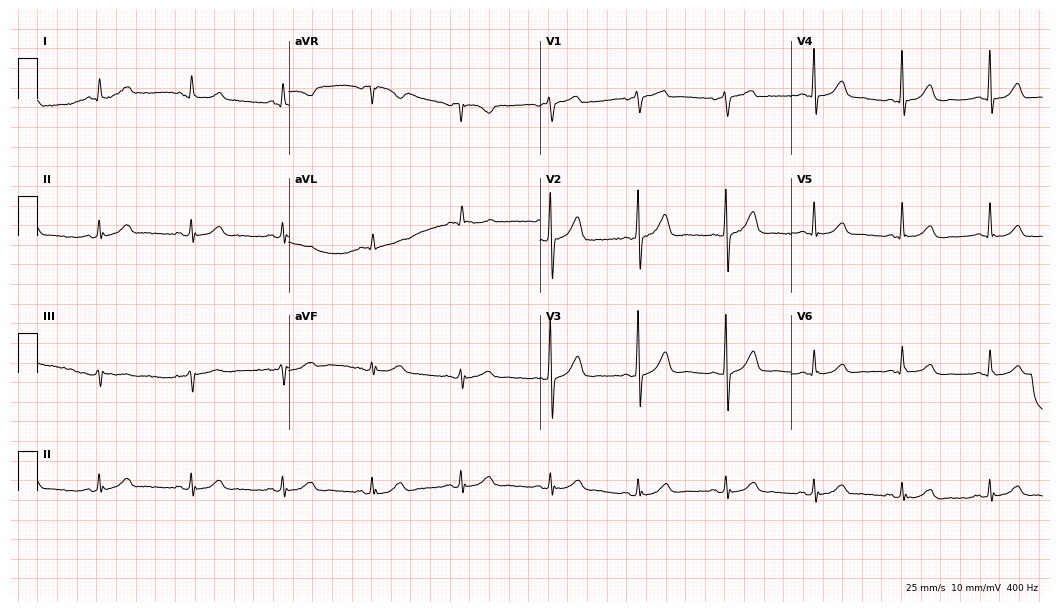
Electrocardiogram, a man, 72 years old. Overall reading on record: normal ECG.